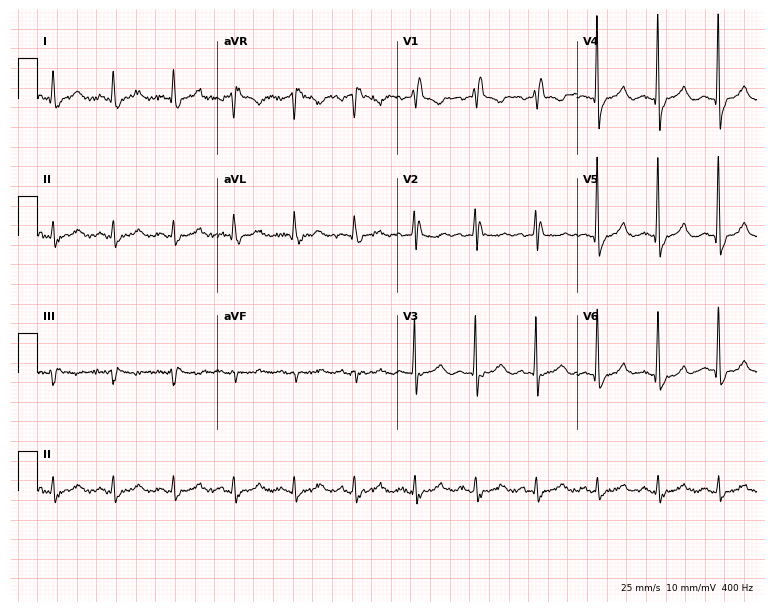
ECG (7.3-second recording at 400 Hz) — an 85-year-old female. Findings include right bundle branch block.